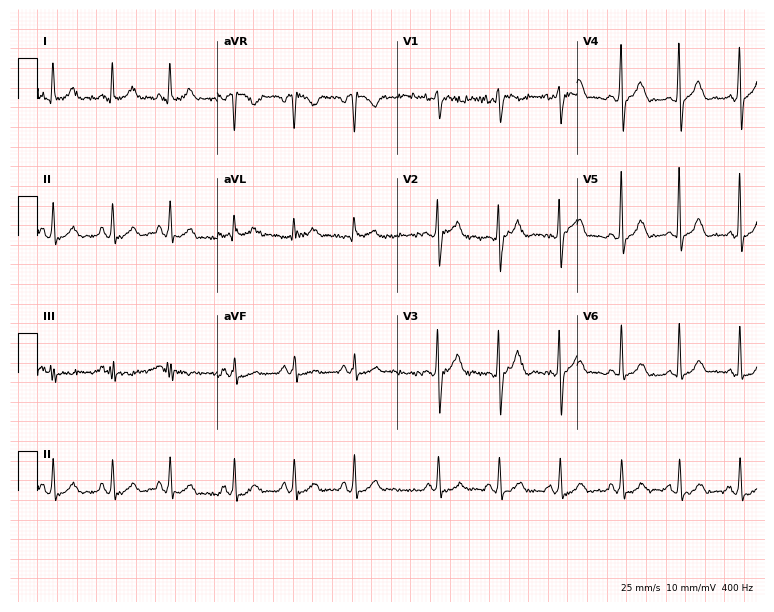
ECG (7.3-second recording at 400 Hz) — a female, 17 years old. Labelled as a normal ECG.